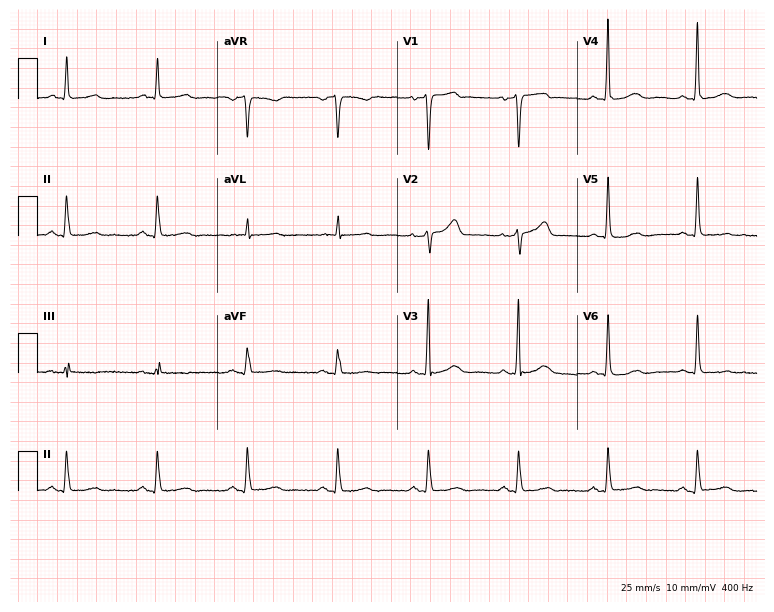
Electrocardiogram (7.3-second recording at 400 Hz), a 68-year-old man. Of the six screened findings (first-degree AV block, right bundle branch block, left bundle branch block, sinus bradycardia, atrial fibrillation, sinus tachycardia), none is recorded.